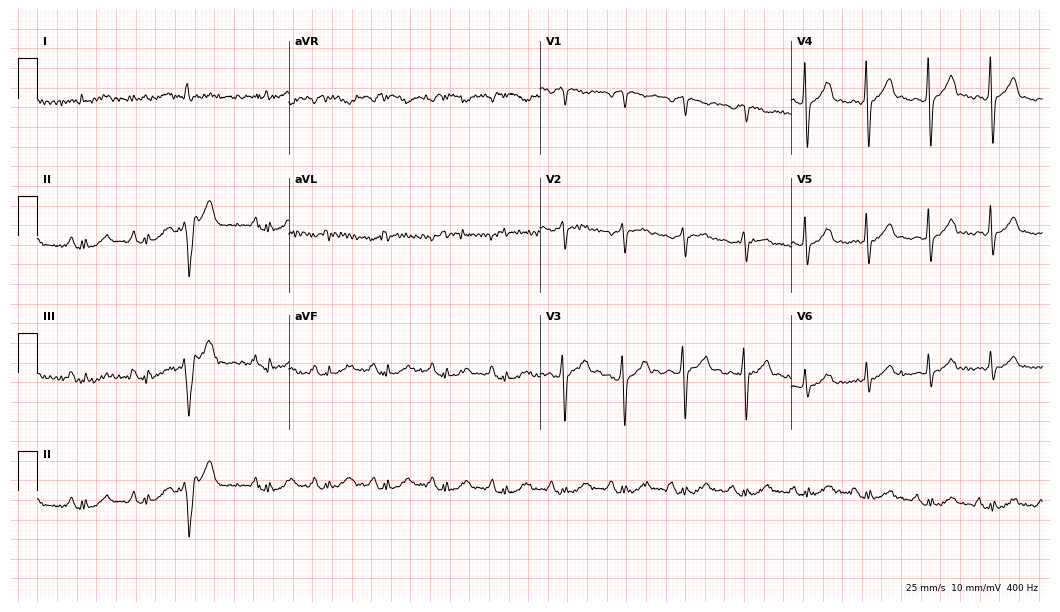
12-lead ECG from a 75-year-old man (10.2-second recording at 400 Hz). Recorded interpretation: within normal limits.